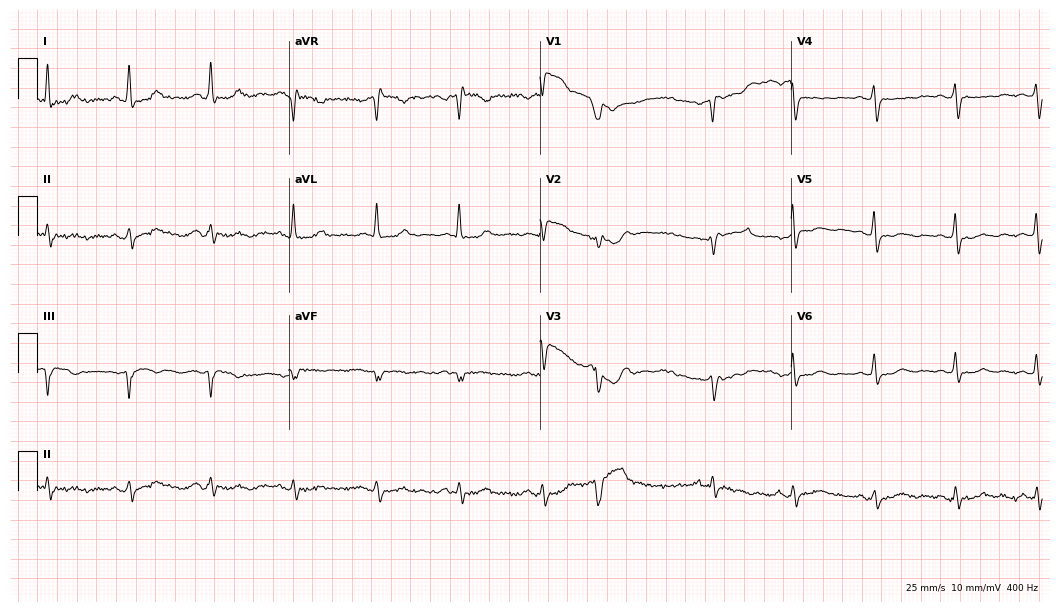
Resting 12-lead electrocardiogram (10.2-second recording at 400 Hz). Patient: a female, 60 years old. None of these six findings is recorded: first-degree AV block, right bundle branch block, left bundle branch block, sinus bradycardia, atrial fibrillation, sinus tachycardia.